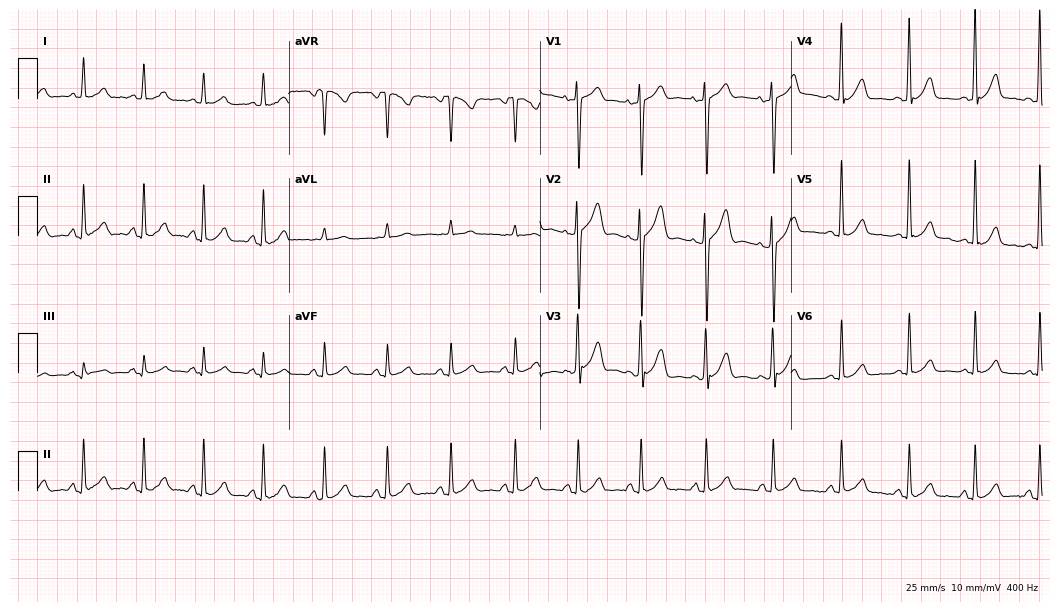
Electrocardiogram (10.2-second recording at 400 Hz), a male patient, 35 years old. Overall reading on record: normal ECG.